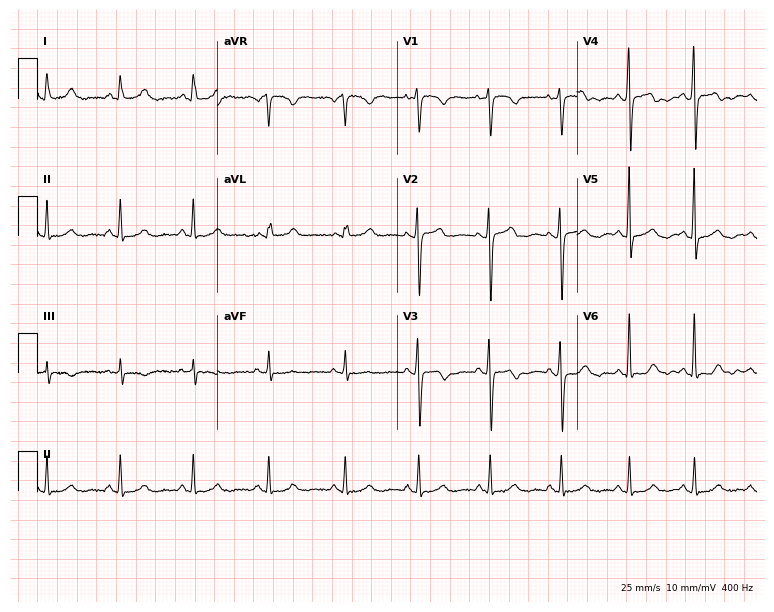
12-lead ECG from a female patient, 46 years old (7.3-second recording at 400 Hz). Recorded interpretation: within normal limits.